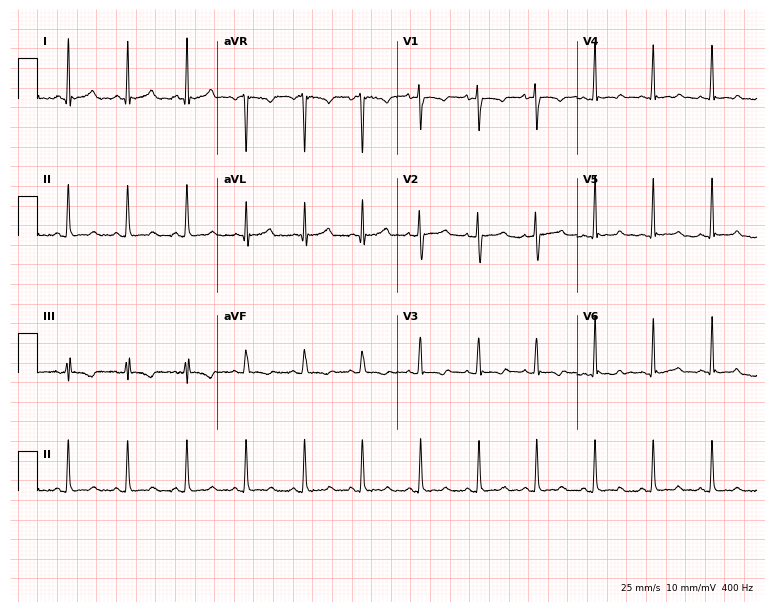
ECG (7.3-second recording at 400 Hz) — a female, 24 years old. Findings include sinus tachycardia (a sinus rate of 100 beats per minute or more).